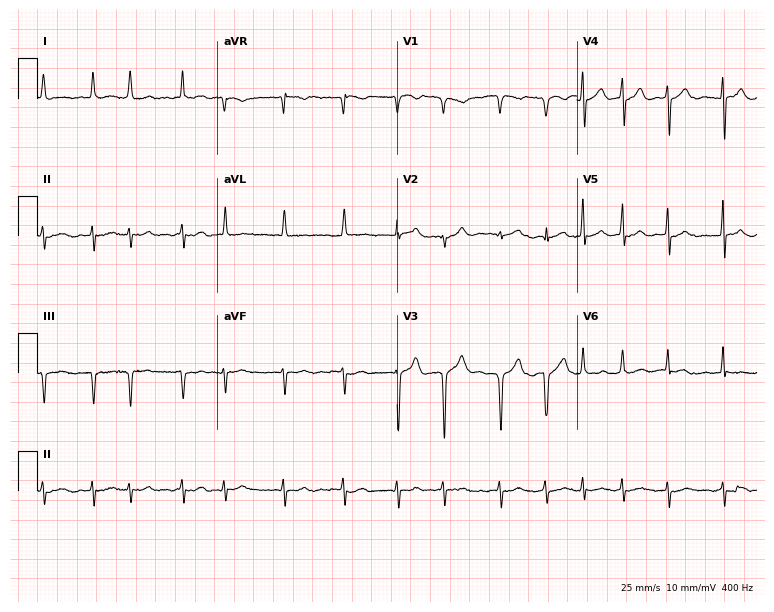
12-lead ECG from a 77-year-old female (7.3-second recording at 400 Hz). Shows atrial fibrillation (AF).